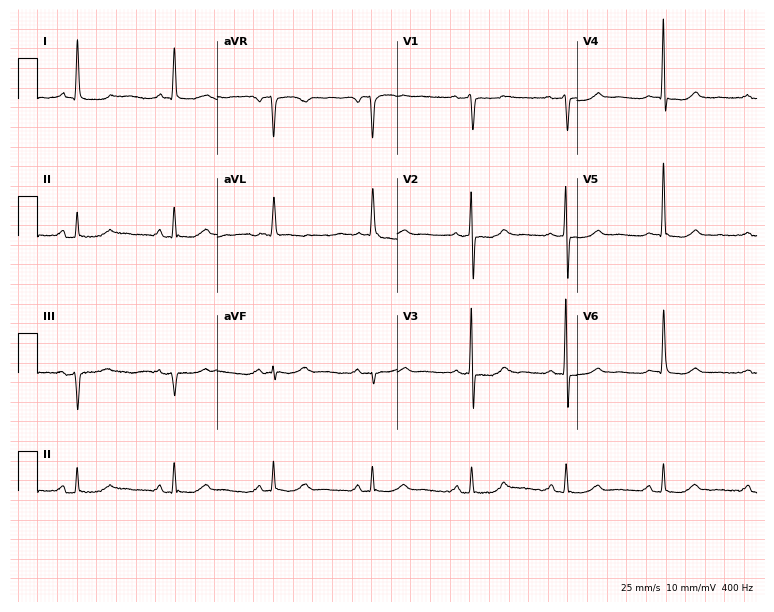
Electrocardiogram (7.3-second recording at 400 Hz), a female, 82 years old. Of the six screened findings (first-degree AV block, right bundle branch block (RBBB), left bundle branch block (LBBB), sinus bradycardia, atrial fibrillation (AF), sinus tachycardia), none is recorded.